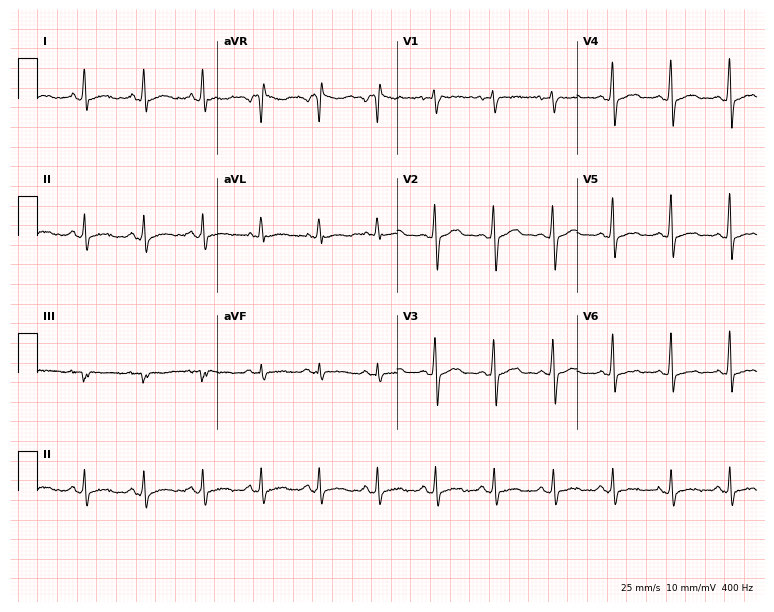
ECG — a male, 36 years old. Screened for six findings — first-degree AV block, right bundle branch block, left bundle branch block, sinus bradycardia, atrial fibrillation, sinus tachycardia — none is recorded. Other findings, if any, are not listed.